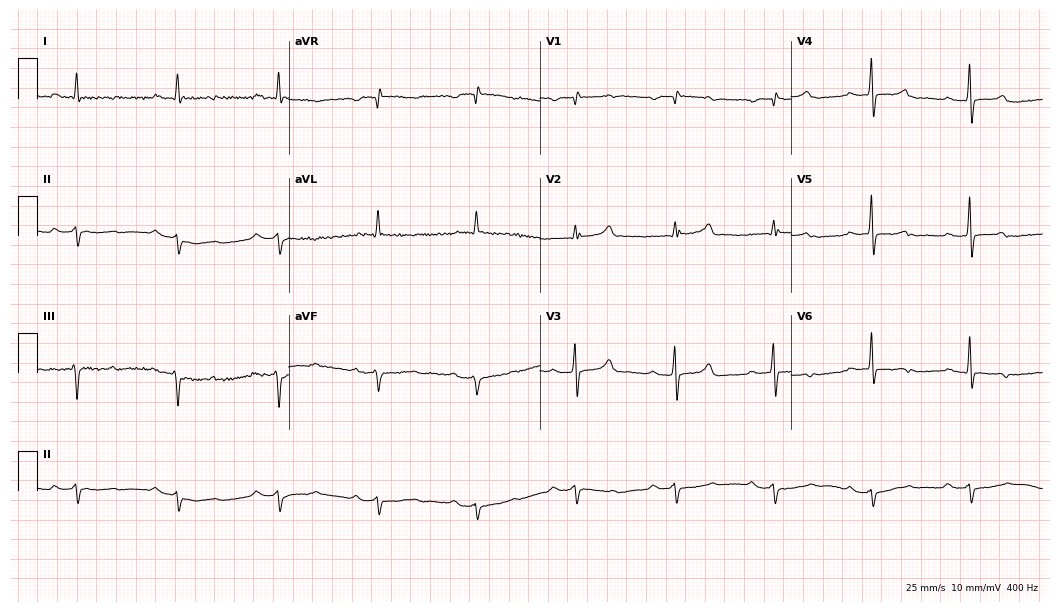
Resting 12-lead electrocardiogram (10.2-second recording at 400 Hz). Patient: a male, 72 years old. None of these six findings is recorded: first-degree AV block, right bundle branch block, left bundle branch block, sinus bradycardia, atrial fibrillation, sinus tachycardia. Other findings, if any, are not listed.